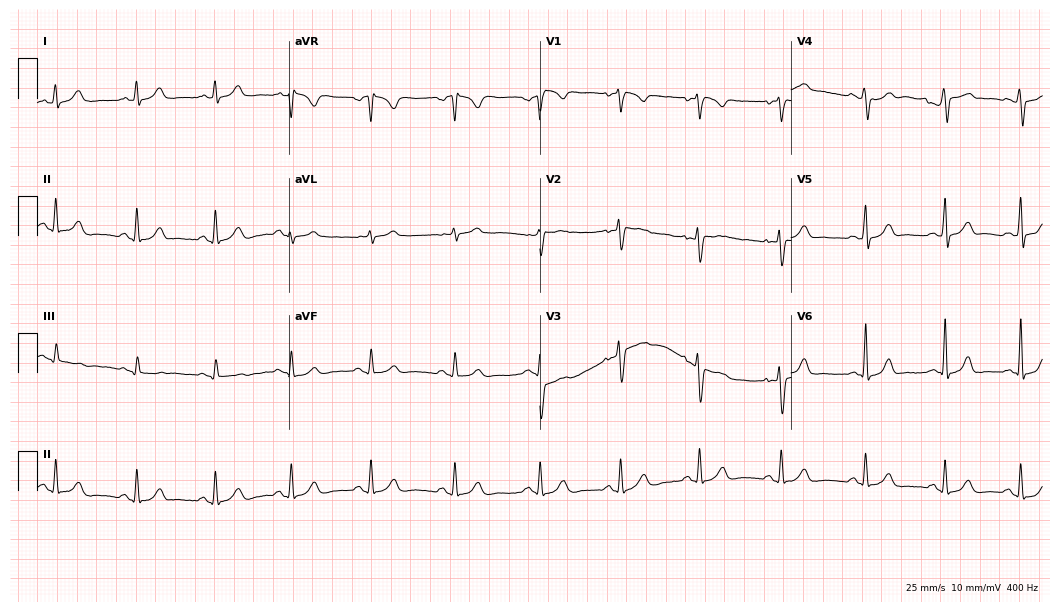
Standard 12-lead ECG recorded from a 29-year-old female patient. Read as a normal ECG.